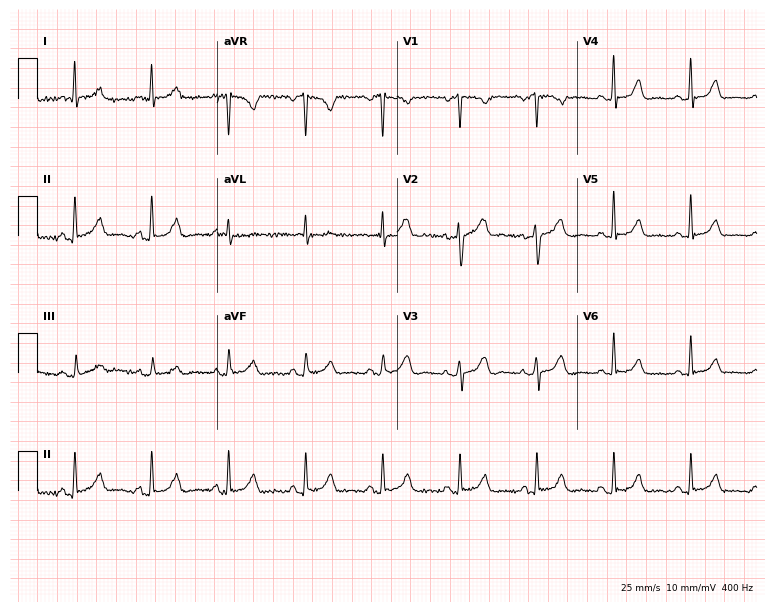
Standard 12-lead ECG recorded from a woman, 68 years old. Read as a normal ECG.